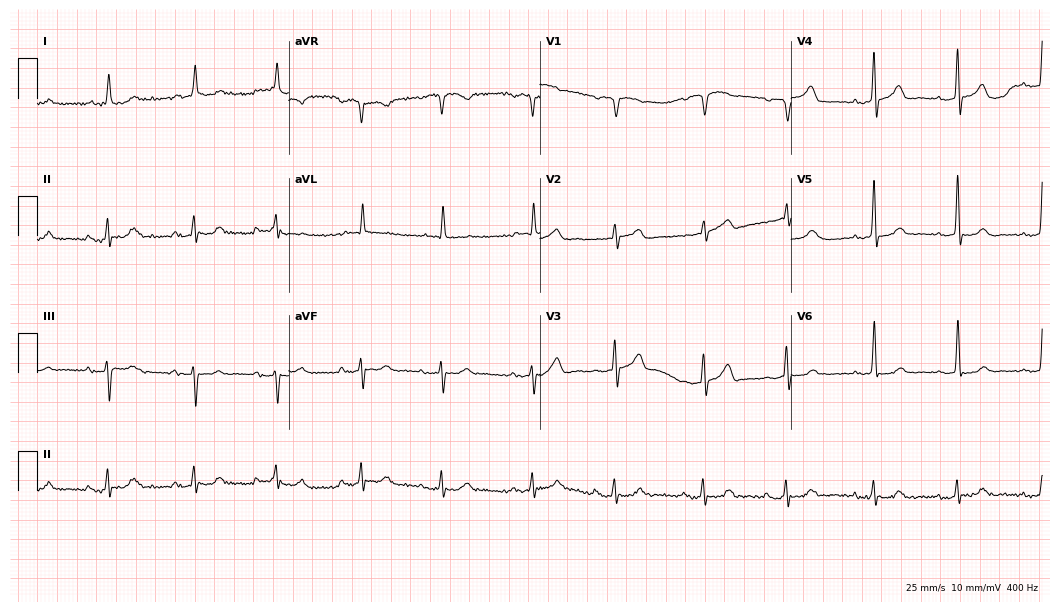
Resting 12-lead electrocardiogram (10.2-second recording at 400 Hz). Patient: a man, 84 years old. Read as a normal ECG.